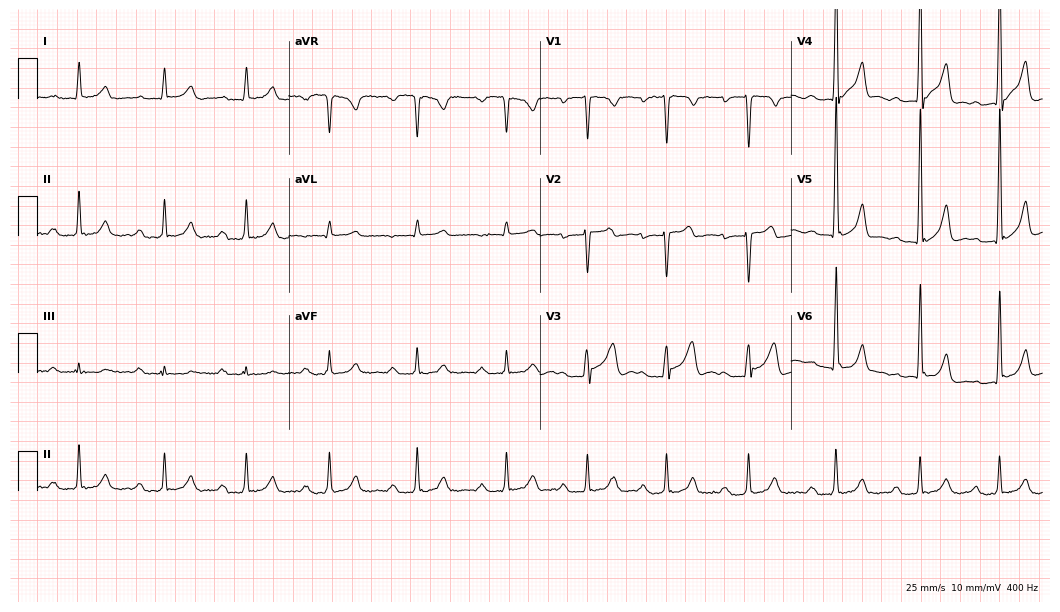
Standard 12-lead ECG recorded from a man, 30 years old (10.2-second recording at 400 Hz). The tracing shows first-degree AV block.